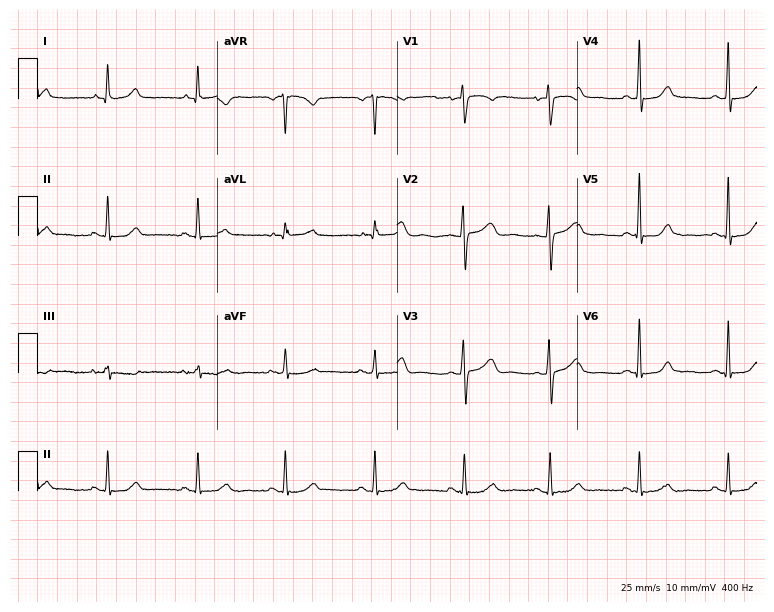
Resting 12-lead electrocardiogram (7.3-second recording at 400 Hz). Patient: a 57-year-old woman. Read as a normal ECG.